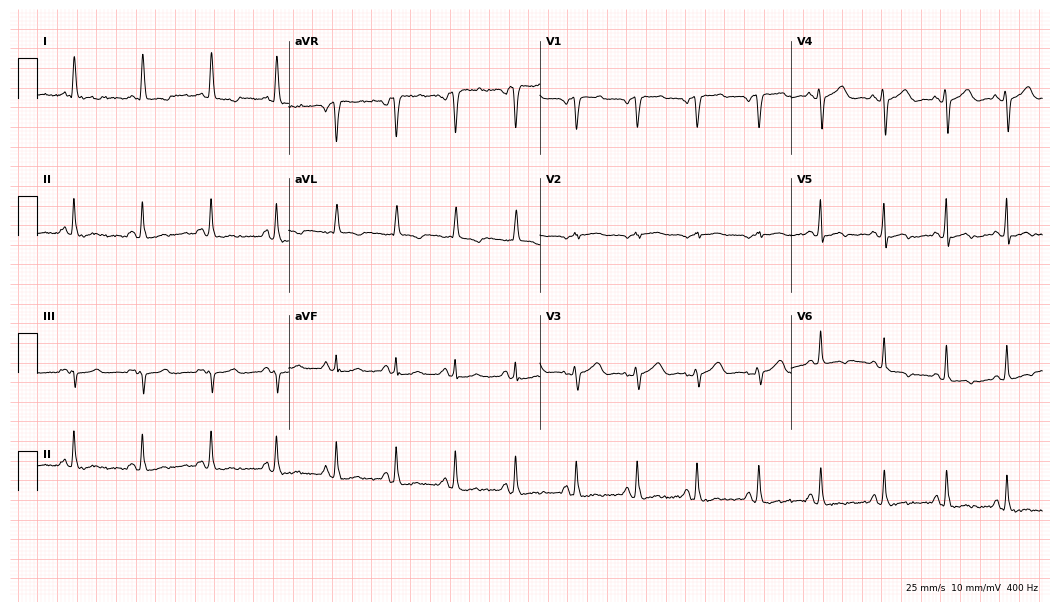
ECG — a female, 68 years old. Screened for six findings — first-degree AV block, right bundle branch block, left bundle branch block, sinus bradycardia, atrial fibrillation, sinus tachycardia — none is recorded. Findings outside these six are not listed.